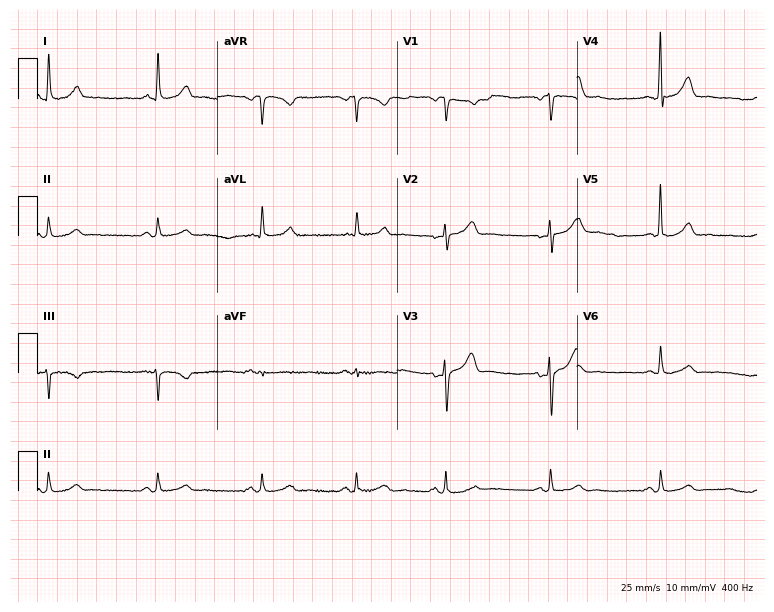
12-lead ECG (7.3-second recording at 400 Hz) from a 51-year-old man. Labelled as a normal ECG.